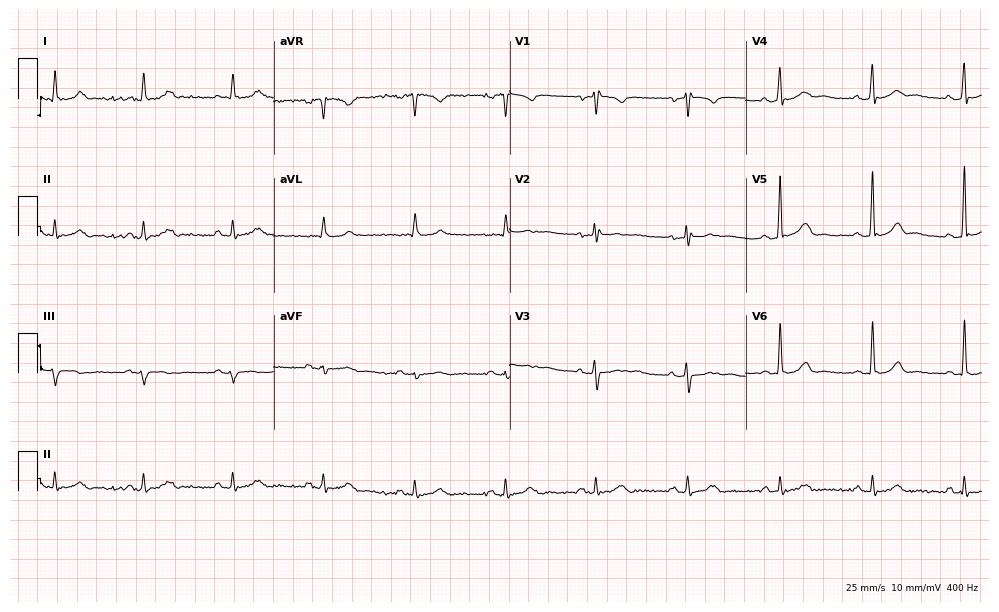
12-lead ECG from a man, 54 years old (9.6-second recording at 400 Hz). Recorded interpretation: within normal limits.